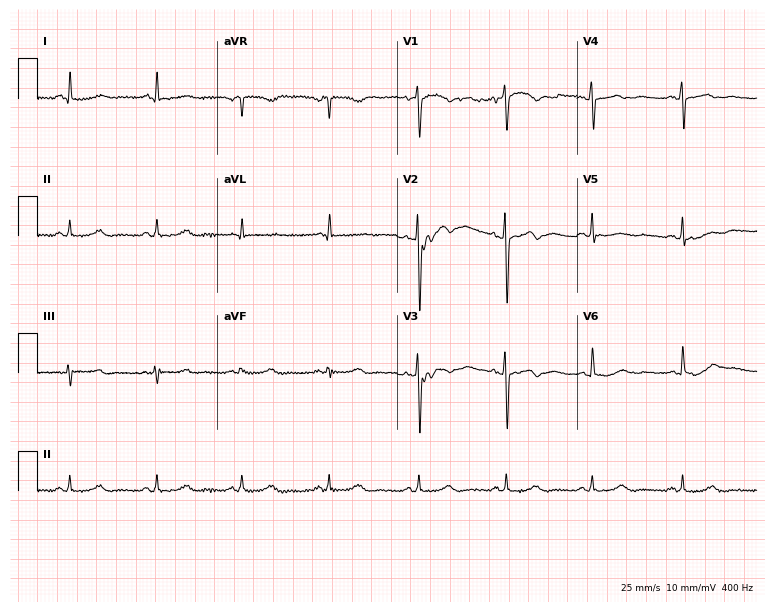
Standard 12-lead ECG recorded from a 50-year-old female patient. None of these six findings is recorded: first-degree AV block, right bundle branch block, left bundle branch block, sinus bradycardia, atrial fibrillation, sinus tachycardia. Other findings, if any, are not listed.